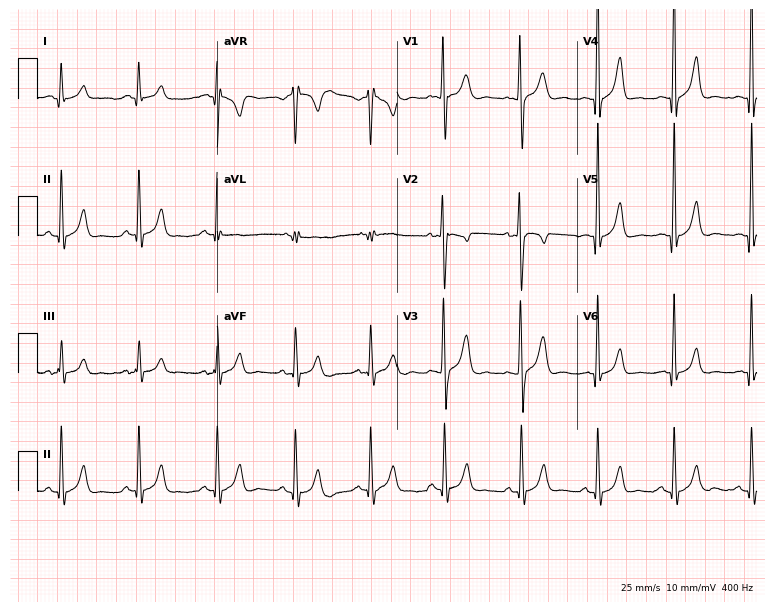
12-lead ECG from a male, 21 years old. Labelled as a normal ECG.